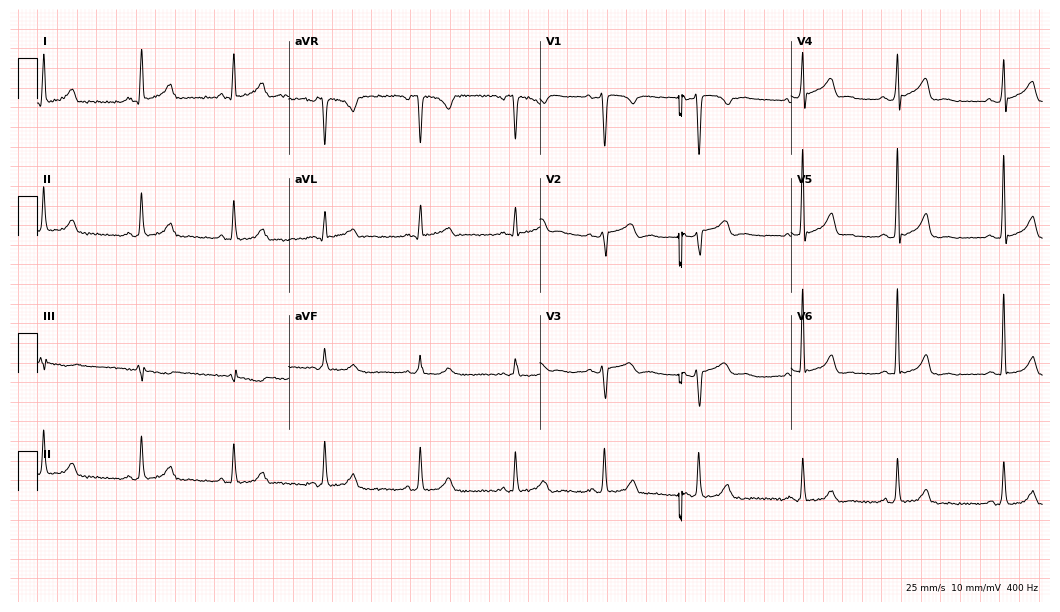
12-lead ECG from a 37-year-old woman (10.2-second recording at 400 Hz). No first-degree AV block, right bundle branch block (RBBB), left bundle branch block (LBBB), sinus bradycardia, atrial fibrillation (AF) or sinus tachycardia recorded for this tracing. Only these six findings were labelled.